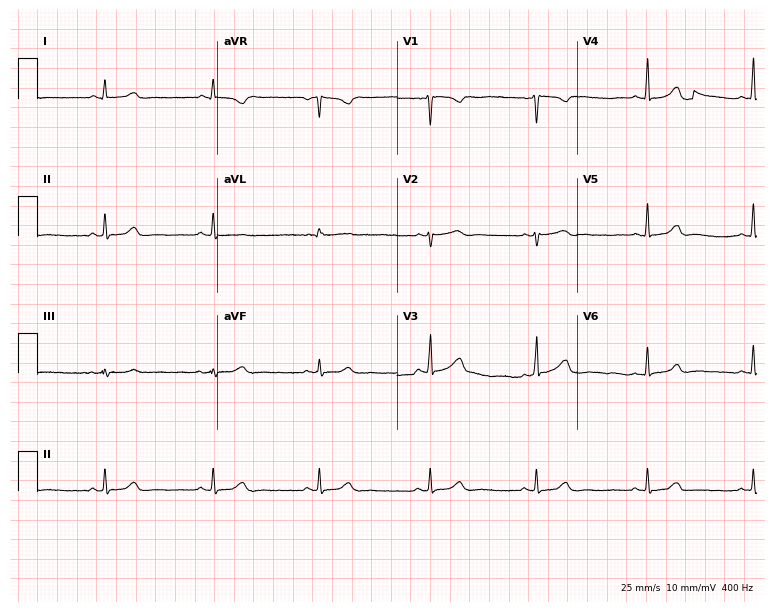
Resting 12-lead electrocardiogram (7.3-second recording at 400 Hz). Patient: a female, 36 years old. Read as a normal ECG.